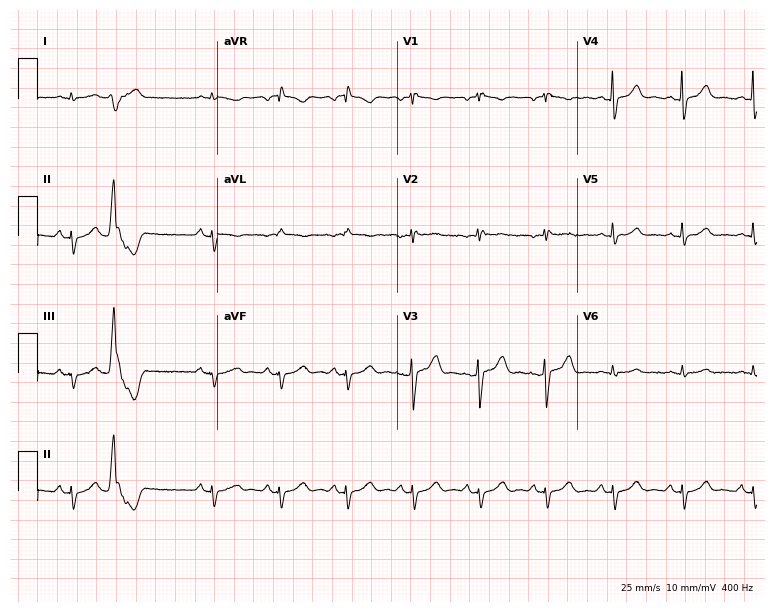
Electrocardiogram, a male patient, 63 years old. Of the six screened findings (first-degree AV block, right bundle branch block, left bundle branch block, sinus bradycardia, atrial fibrillation, sinus tachycardia), none is recorded. Findings outside these six are not listed.